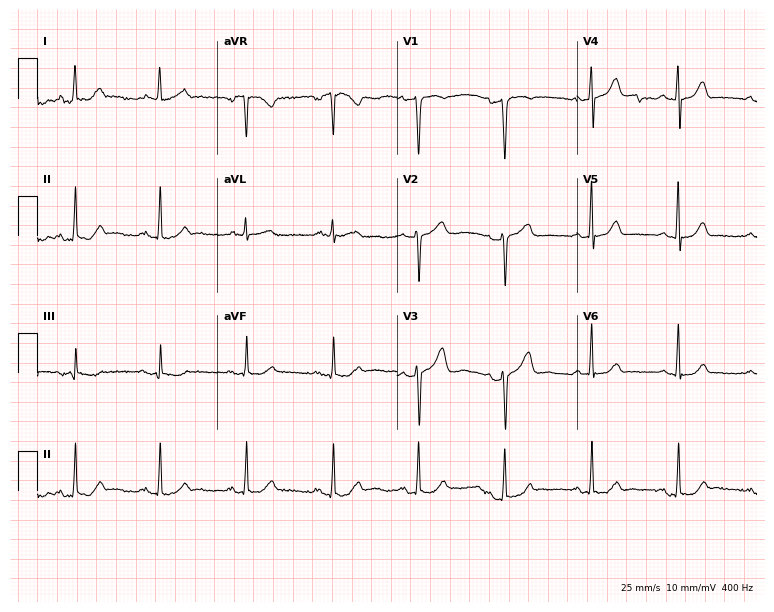
ECG (7.3-second recording at 400 Hz) — a female patient, 56 years old. Labelled as a normal ECG.